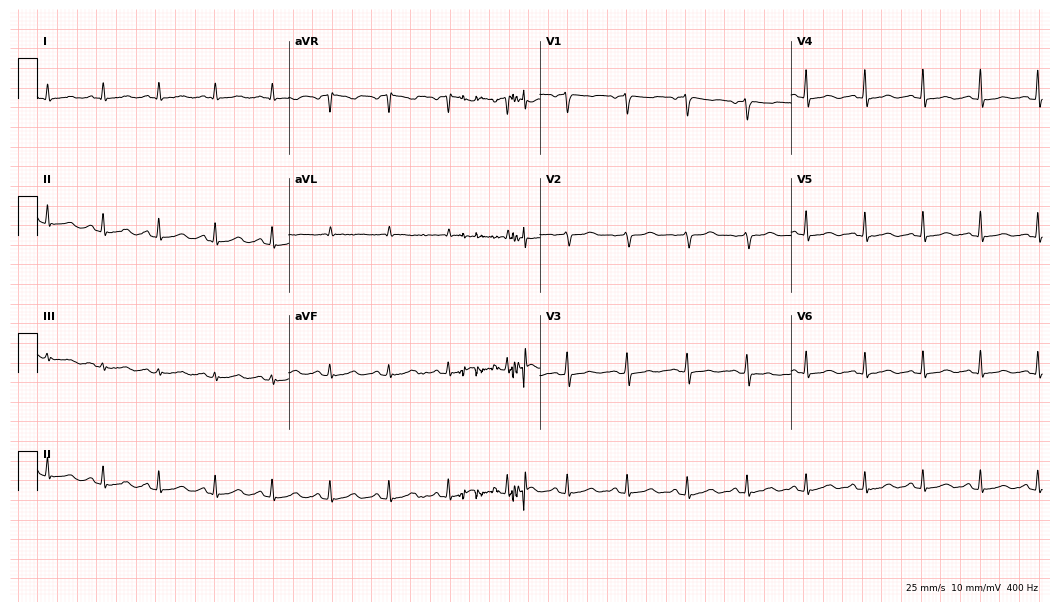
12-lead ECG from a 50-year-old woman. Labelled as a normal ECG.